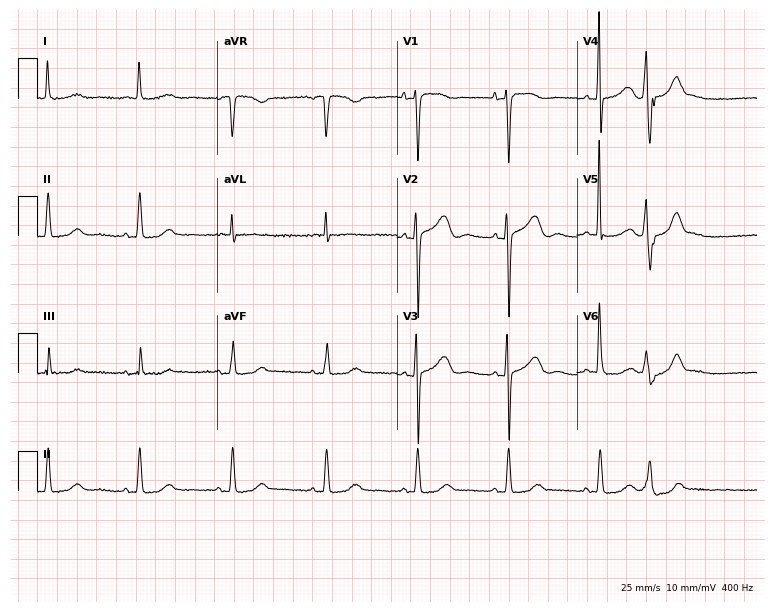
12-lead ECG from a female, 83 years old. No first-degree AV block, right bundle branch block, left bundle branch block, sinus bradycardia, atrial fibrillation or sinus tachycardia recorded for this tracing. Only these six findings were labelled.